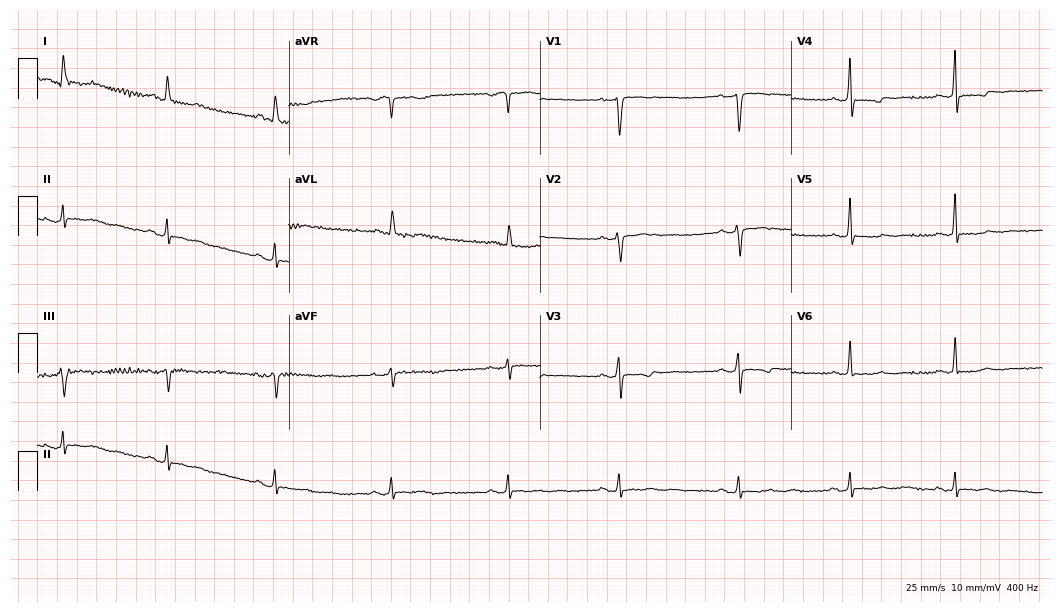
Electrocardiogram, a female, 44 years old. Of the six screened findings (first-degree AV block, right bundle branch block, left bundle branch block, sinus bradycardia, atrial fibrillation, sinus tachycardia), none is recorded. Only these six findings were labelled.